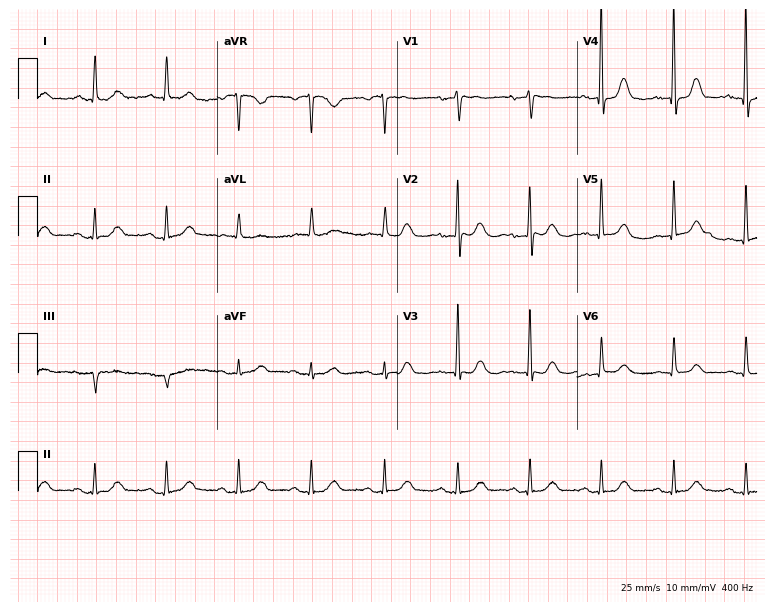
Resting 12-lead electrocardiogram. Patient: a 71-year-old female. Read as a normal ECG.